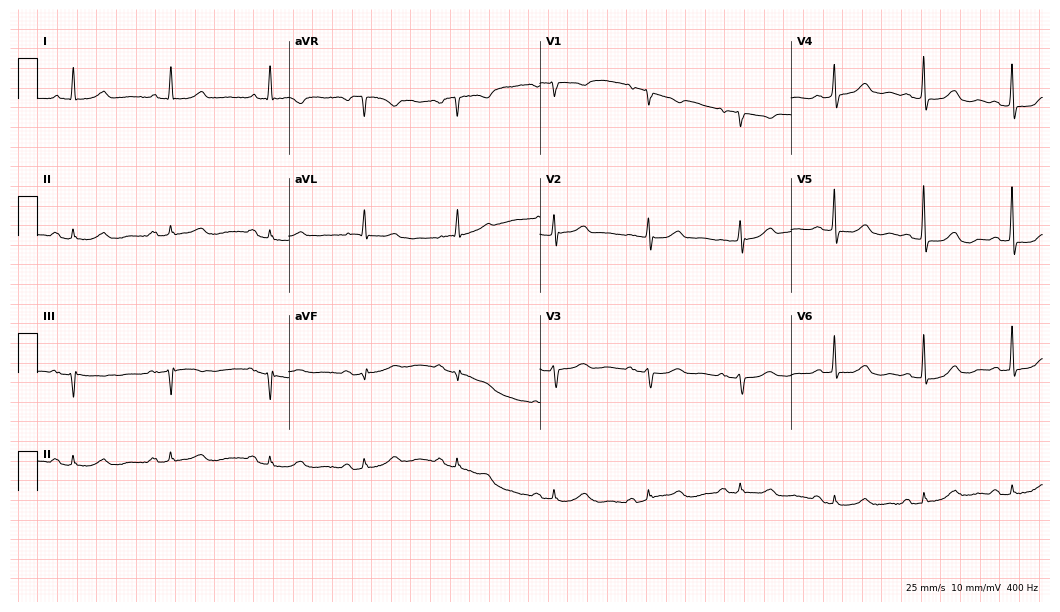
12-lead ECG from a female patient, 77 years old. Recorded interpretation: within normal limits.